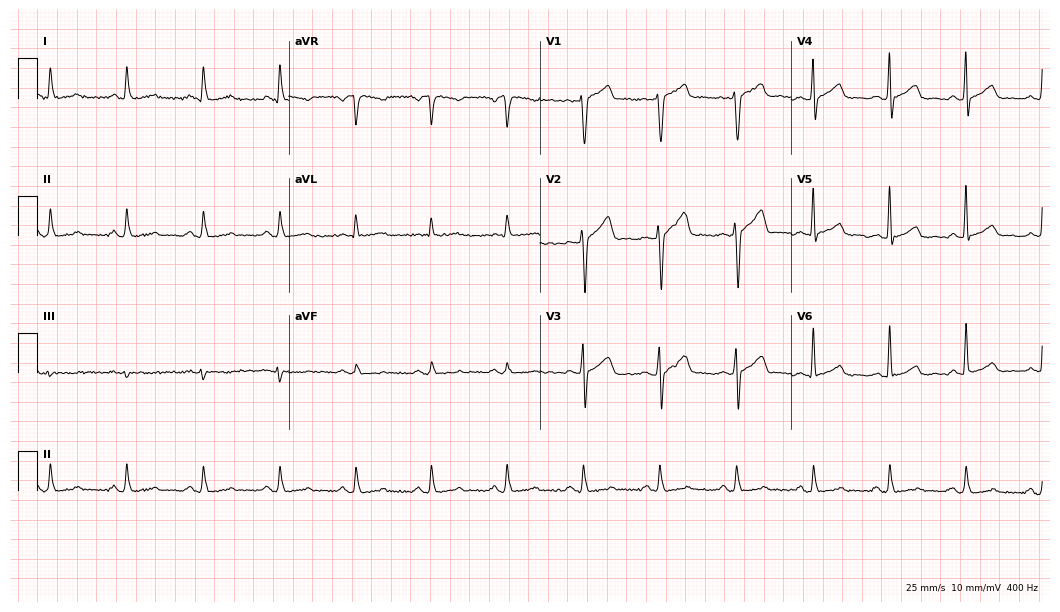
Resting 12-lead electrocardiogram. Patient: a male, 41 years old. None of these six findings is recorded: first-degree AV block, right bundle branch block (RBBB), left bundle branch block (LBBB), sinus bradycardia, atrial fibrillation (AF), sinus tachycardia.